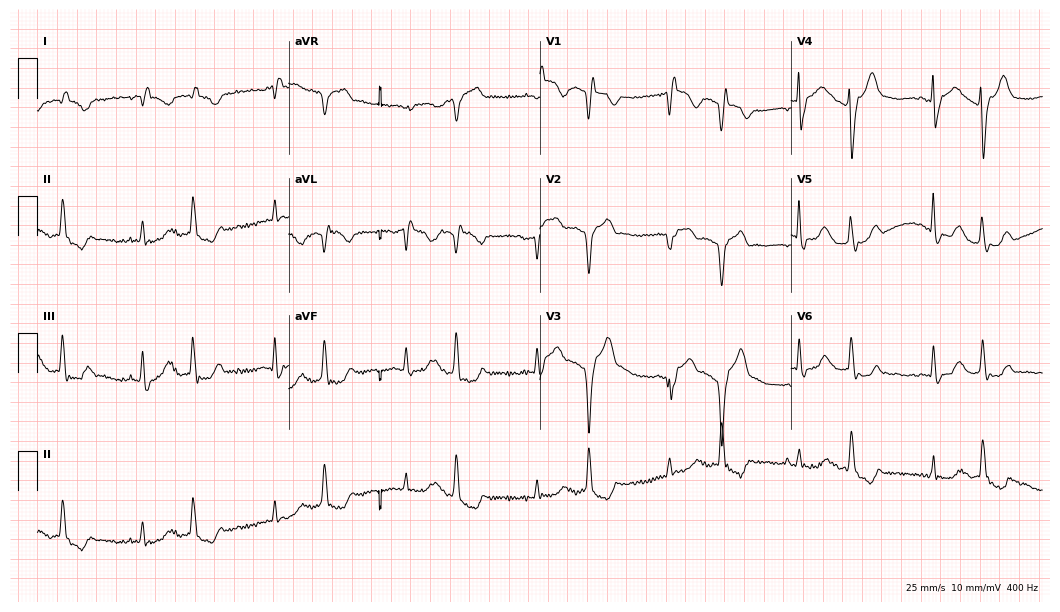
12-lead ECG (10.2-second recording at 400 Hz) from a female, 79 years old. Screened for six findings — first-degree AV block, right bundle branch block, left bundle branch block, sinus bradycardia, atrial fibrillation, sinus tachycardia — none is recorded.